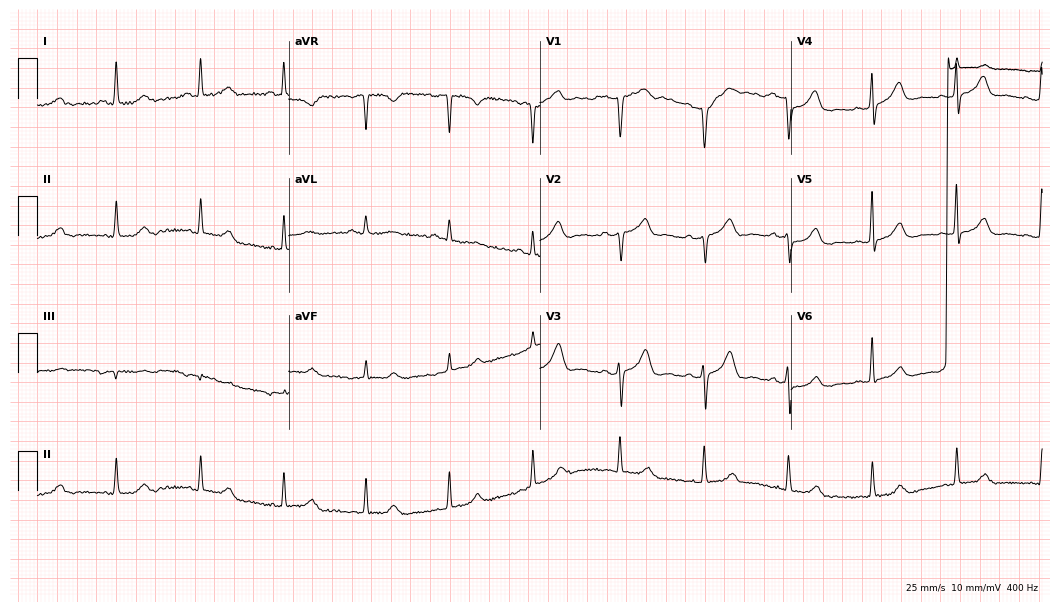
12-lead ECG (10.2-second recording at 400 Hz) from a 64-year-old female patient. Screened for six findings — first-degree AV block, right bundle branch block, left bundle branch block, sinus bradycardia, atrial fibrillation, sinus tachycardia — none is recorded. Findings outside these six are not listed.